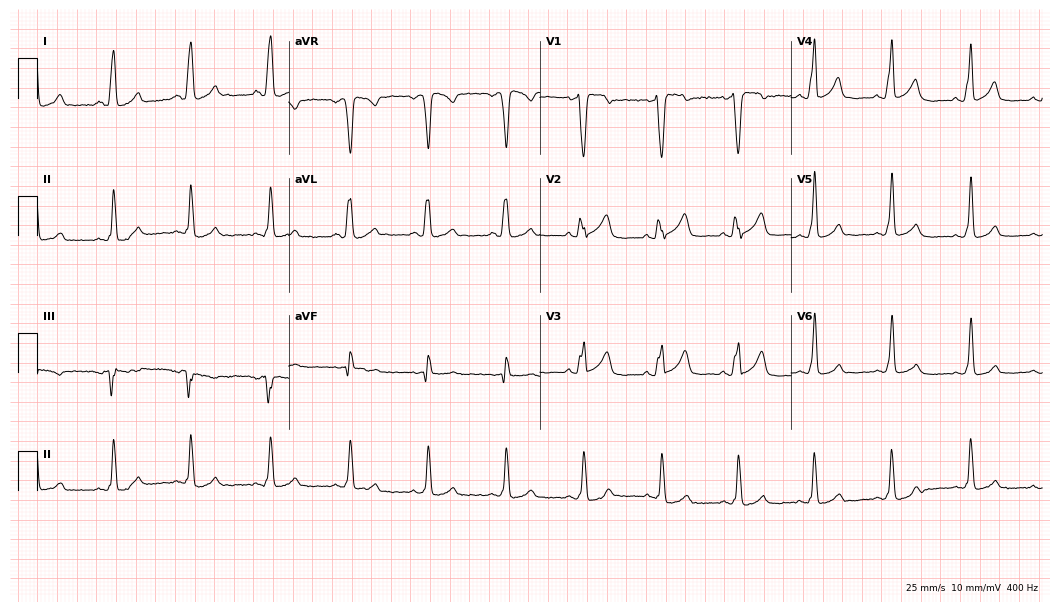
Resting 12-lead electrocardiogram. Patient: a male, 36 years old. None of these six findings is recorded: first-degree AV block, right bundle branch block, left bundle branch block, sinus bradycardia, atrial fibrillation, sinus tachycardia. Other findings, if any, are not listed.